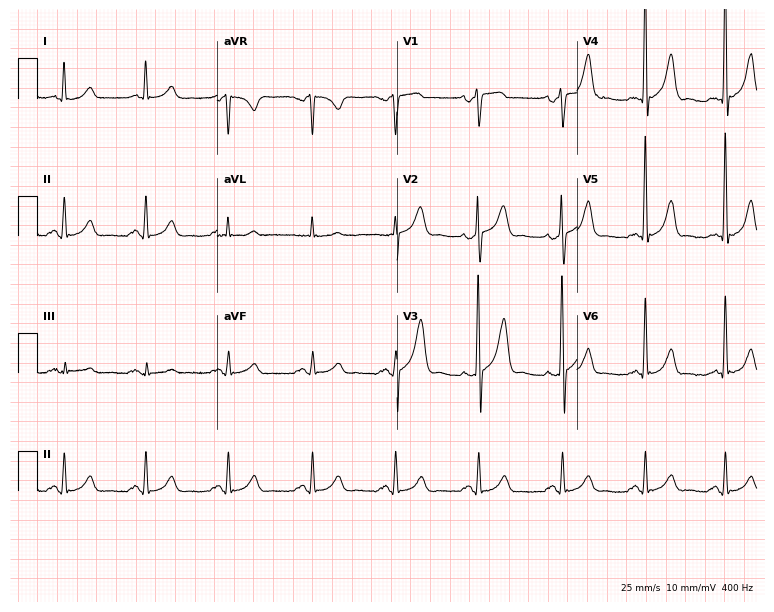
12-lead ECG from a 60-year-old male patient (7.3-second recording at 400 Hz). No first-degree AV block, right bundle branch block, left bundle branch block, sinus bradycardia, atrial fibrillation or sinus tachycardia recorded for this tracing.